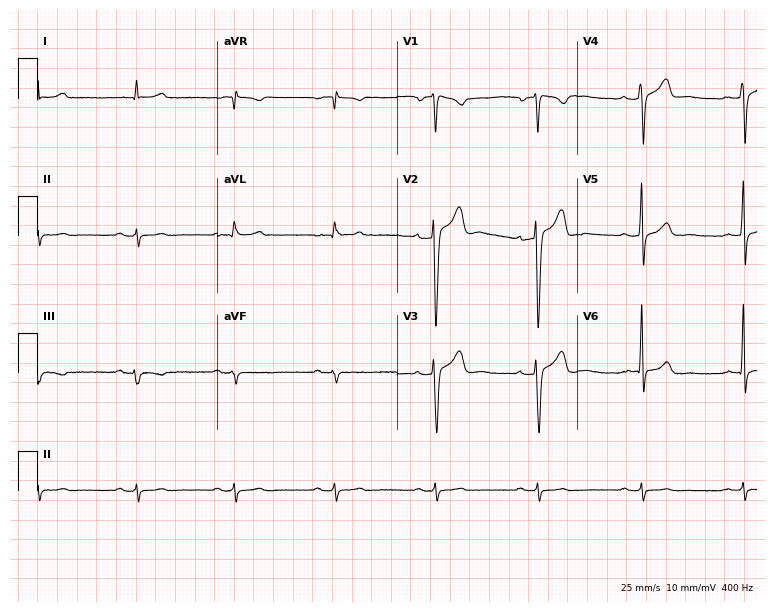
12-lead ECG from a male, 53 years old (7.3-second recording at 400 Hz). No first-degree AV block, right bundle branch block (RBBB), left bundle branch block (LBBB), sinus bradycardia, atrial fibrillation (AF) or sinus tachycardia recorded for this tracing. Only these six findings were labelled.